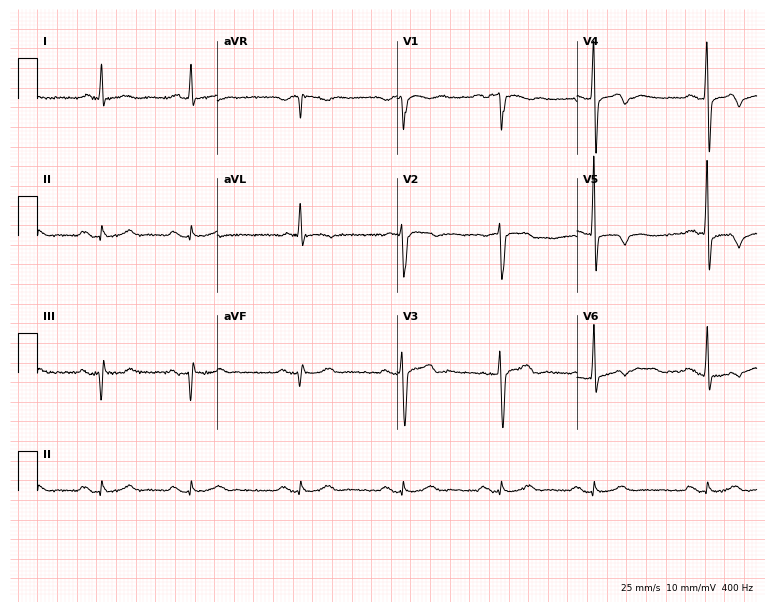
12-lead ECG from a 77-year-old male patient. Screened for six findings — first-degree AV block, right bundle branch block, left bundle branch block, sinus bradycardia, atrial fibrillation, sinus tachycardia — none is recorded.